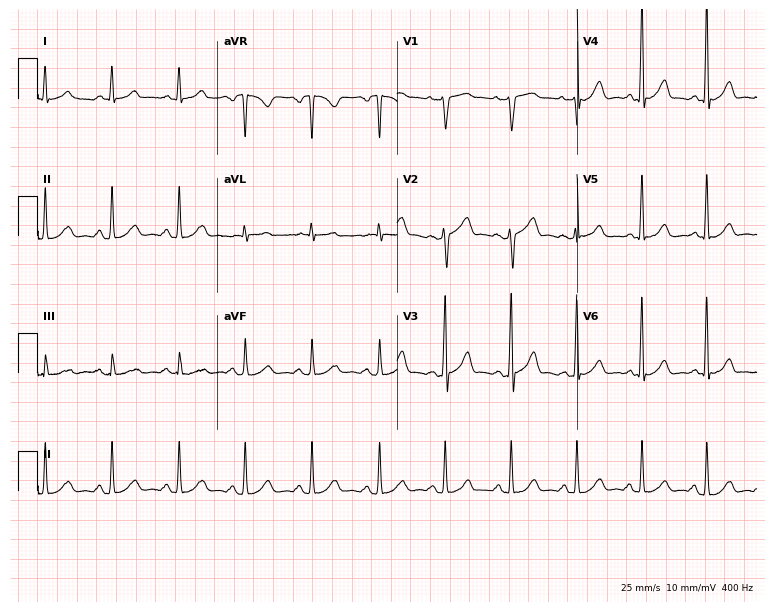
Standard 12-lead ECG recorded from a man, 51 years old (7.3-second recording at 400 Hz). Read as a normal ECG.